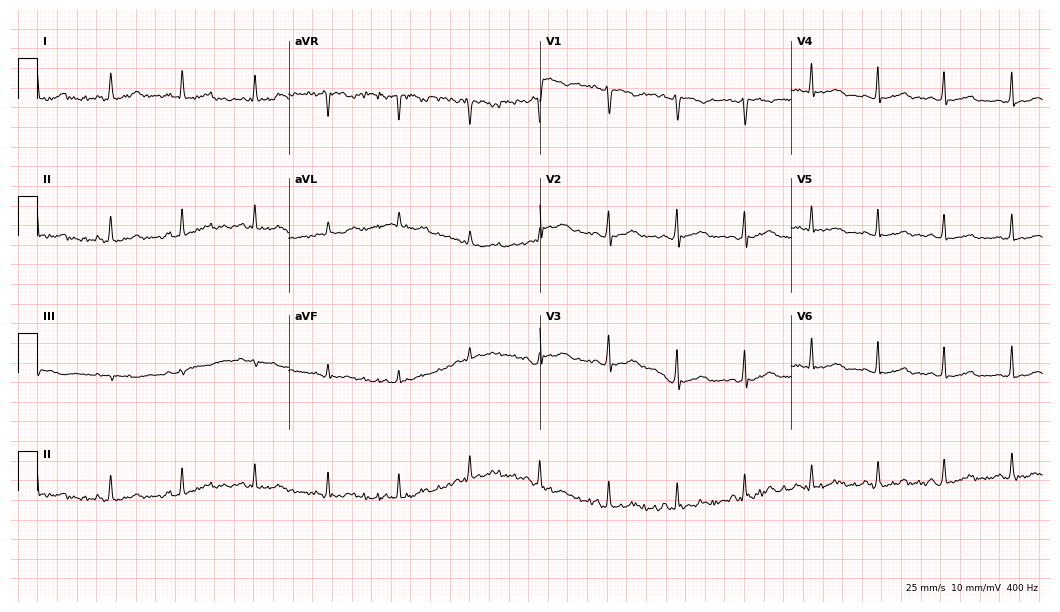
Standard 12-lead ECG recorded from a 28-year-old woman (10.2-second recording at 400 Hz). None of these six findings is recorded: first-degree AV block, right bundle branch block, left bundle branch block, sinus bradycardia, atrial fibrillation, sinus tachycardia.